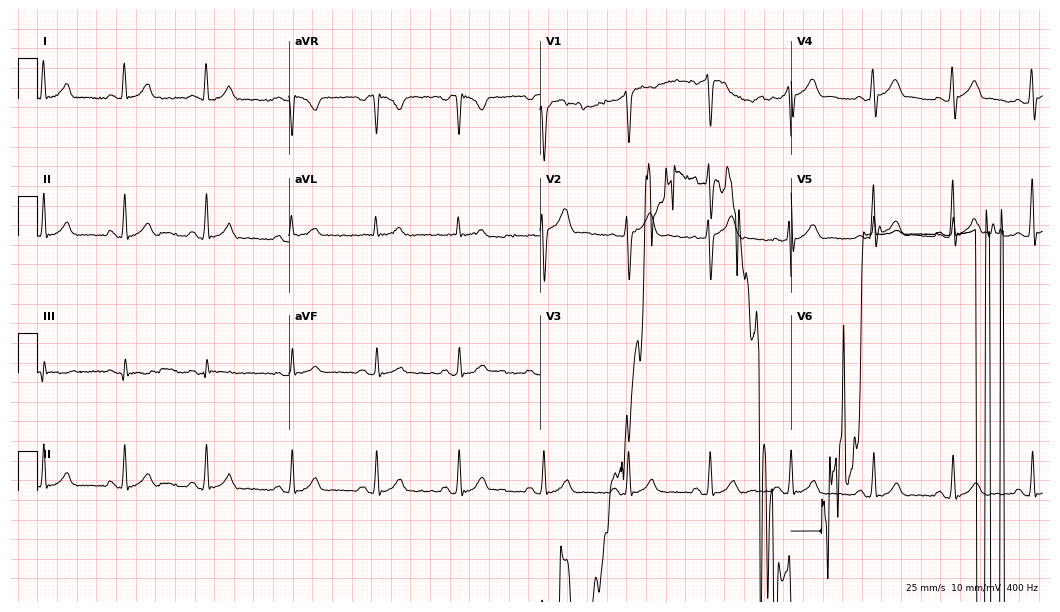
Standard 12-lead ECG recorded from a man, 31 years old (10.2-second recording at 400 Hz). None of these six findings is recorded: first-degree AV block, right bundle branch block (RBBB), left bundle branch block (LBBB), sinus bradycardia, atrial fibrillation (AF), sinus tachycardia.